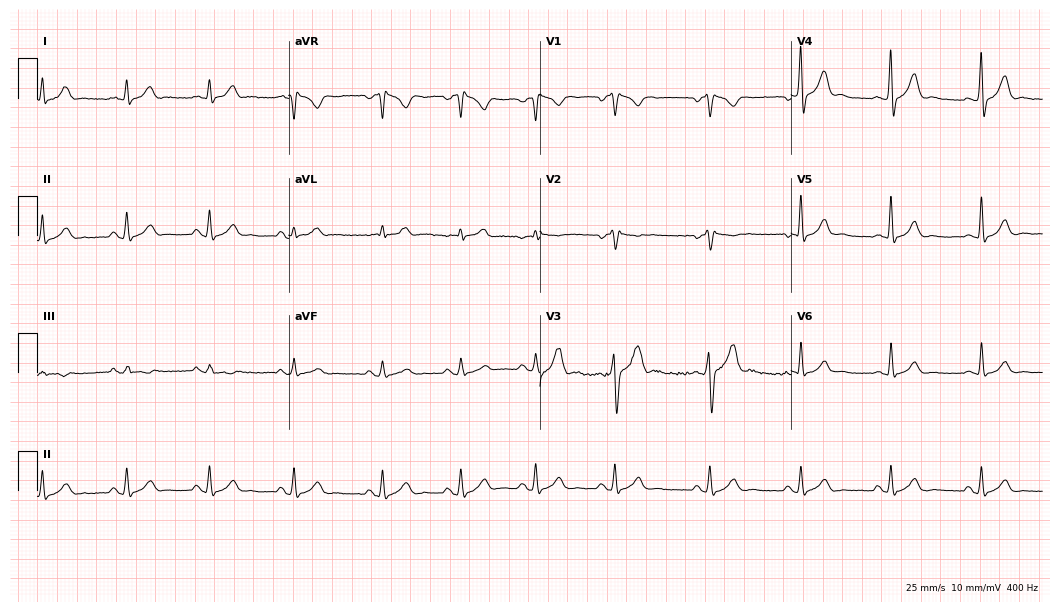
Resting 12-lead electrocardiogram (10.2-second recording at 400 Hz). Patient: a male, 29 years old. None of these six findings is recorded: first-degree AV block, right bundle branch block (RBBB), left bundle branch block (LBBB), sinus bradycardia, atrial fibrillation (AF), sinus tachycardia.